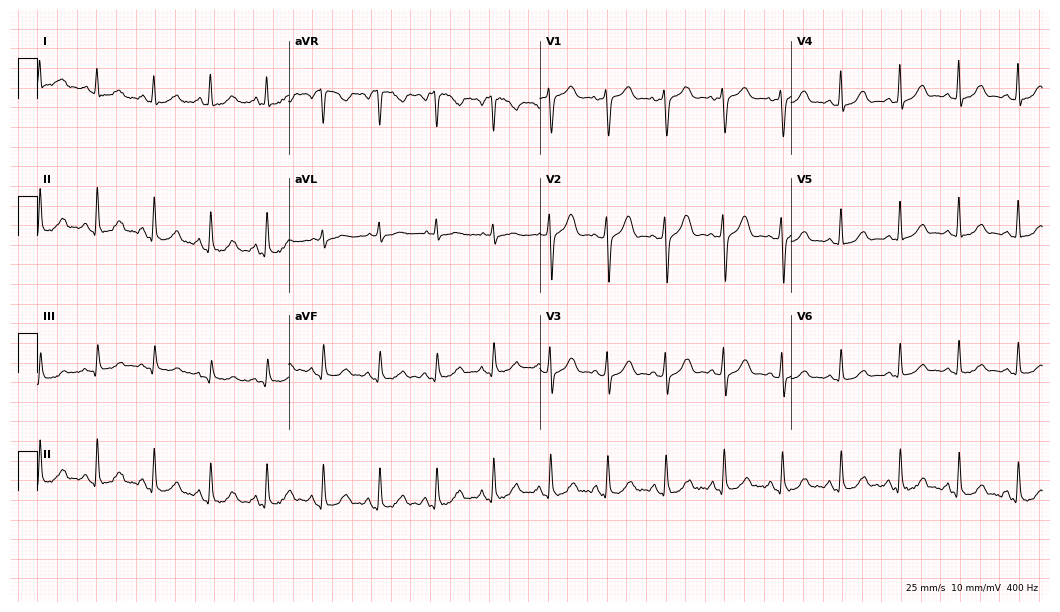
12-lead ECG from a 68-year-old woman. Shows sinus tachycardia (a sinus rate of 100 beats per minute or more).